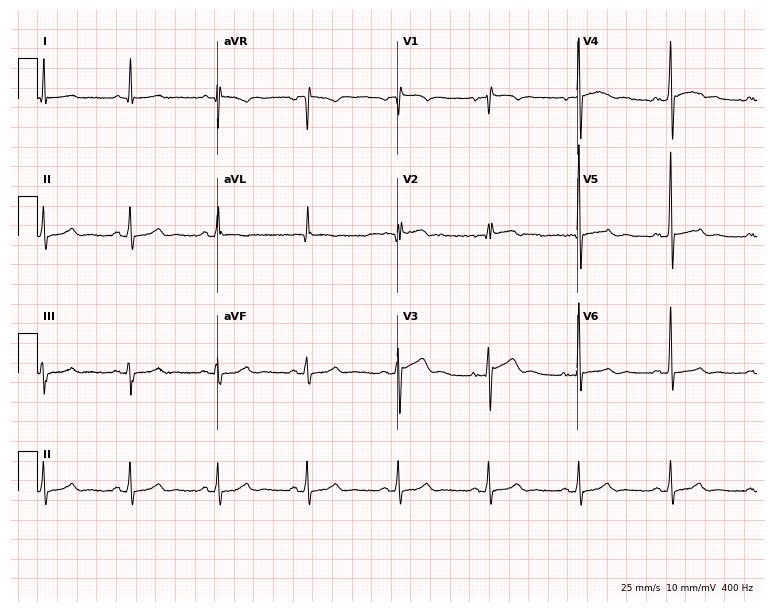
Standard 12-lead ECG recorded from a male, 71 years old. None of these six findings is recorded: first-degree AV block, right bundle branch block, left bundle branch block, sinus bradycardia, atrial fibrillation, sinus tachycardia. Findings outside these six are not listed.